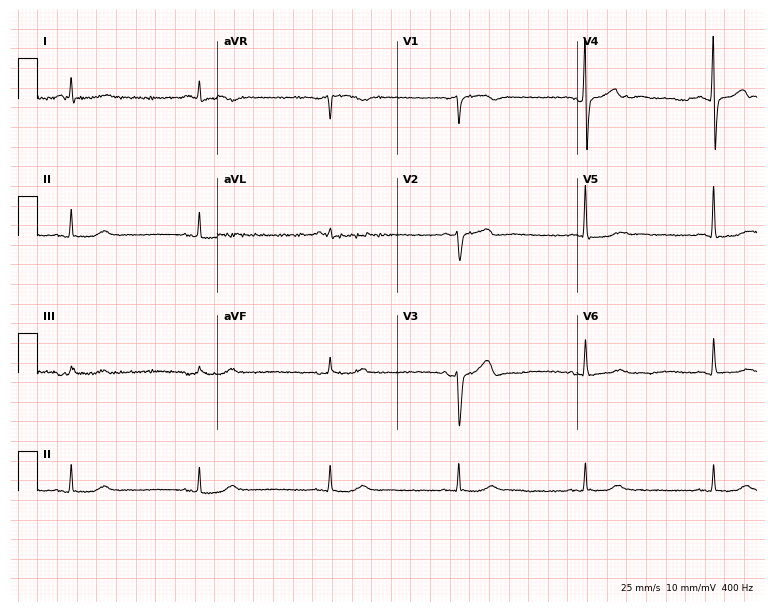
Standard 12-lead ECG recorded from a male, 71 years old. The tracing shows sinus bradycardia (a sinus rate of 50 beats per minute or less).